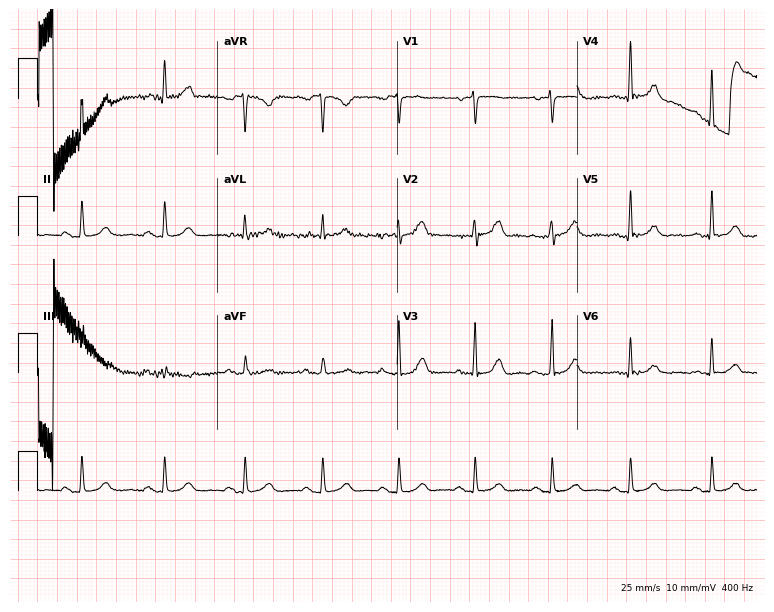
12-lead ECG from a woman, 79 years old (7.3-second recording at 400 Hz). Recorded interpretation: within normal limits.